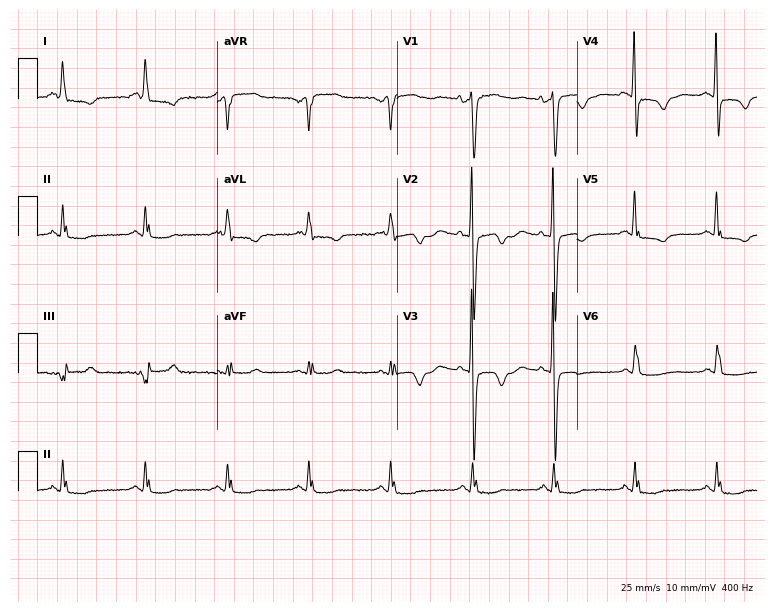
Electrocardiogram, a female patient, 67 years old. Of the six screened findings (first-degree AV block, right bundle branch block, left bundle branch block, sinus bradycardia, atrial fibrillation, sinus tachycardia), none is recorded. Only these six findings were labelled.